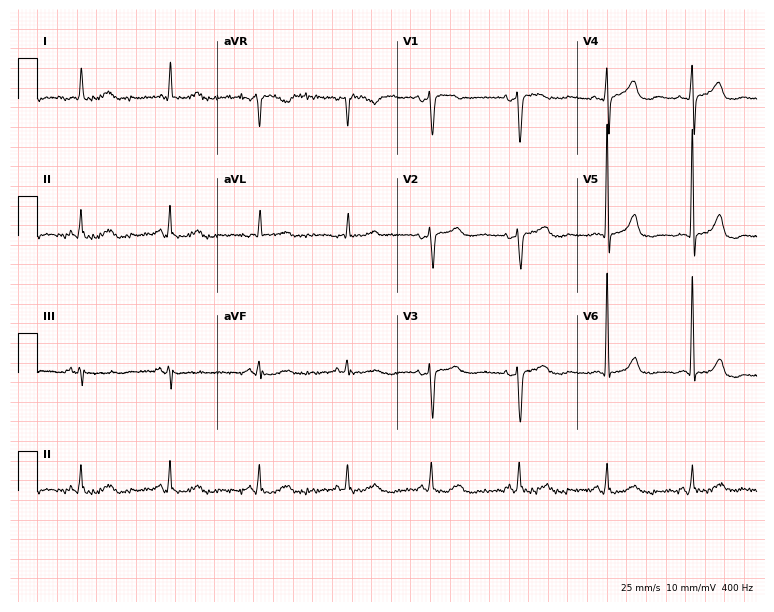
Electrocardiogram (7.3-second recording at 400 Hz), a woman, 74 years old. Overall reading on record: normal ECG.